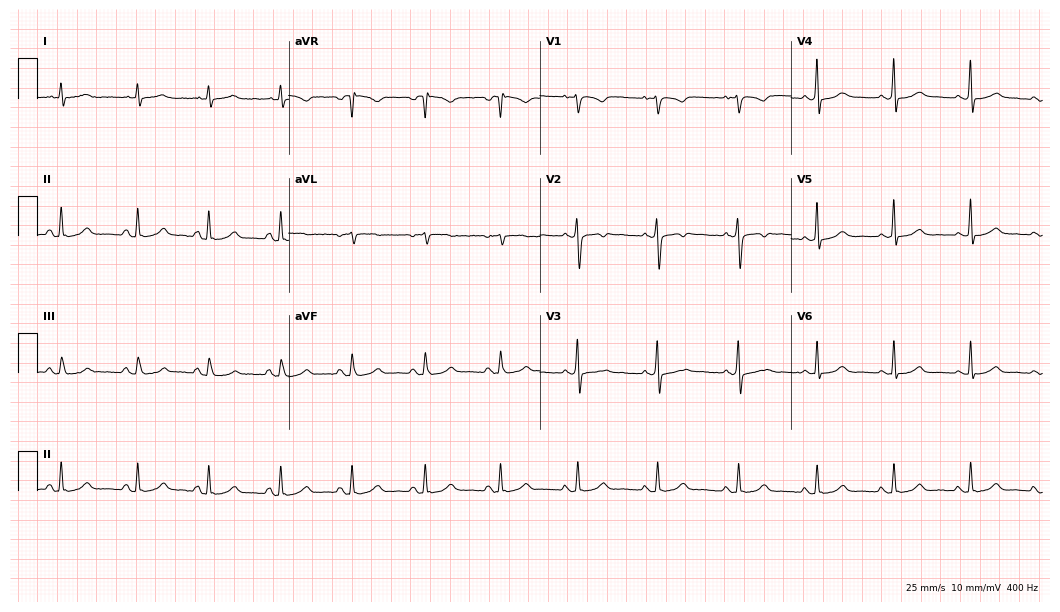
12-lead ECG from a female patient, 33 years old. Screened for six findings — first-degree AV block, right bundle branch block, left bundle branch block, sinus bradycardia, atrial fibrillation, sinus tachycardia — none is recorded.